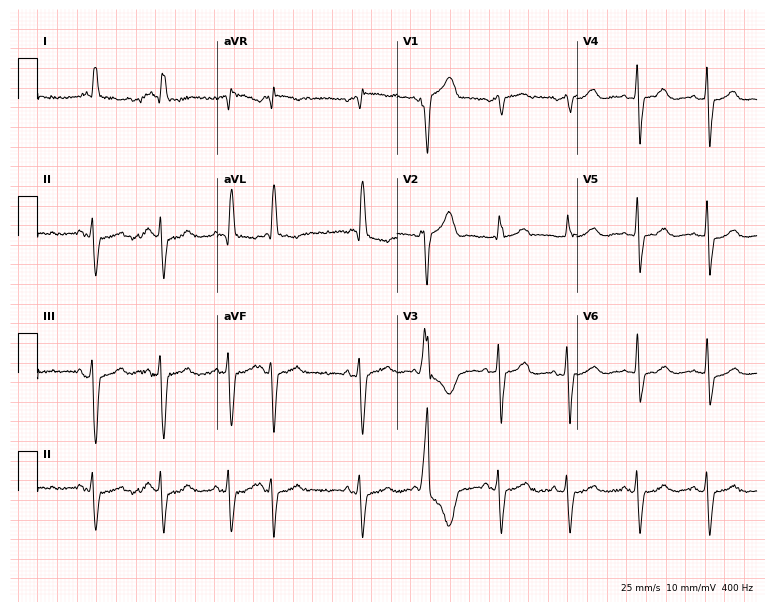
Electrocardiogram, a 74-year-old male patient. Of the six screened findings (first-degree AV block, right bundle branch block, left bundle branch block, sinus bradycardia, atrial fibrillation, sinus tachycardia), none is recorded. Other findings, if any, are not listed.